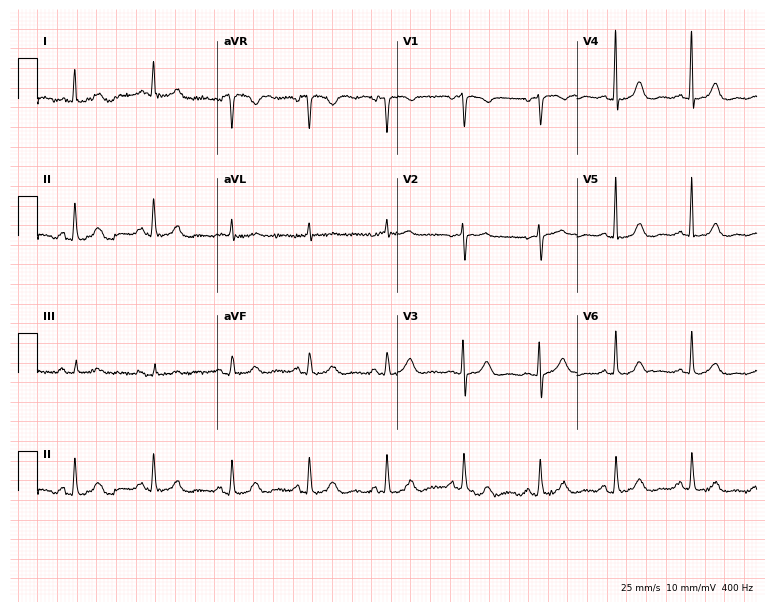
Standard 12-lead ECG recorded from a female patient, 76 years old. Read as a normal ECG.